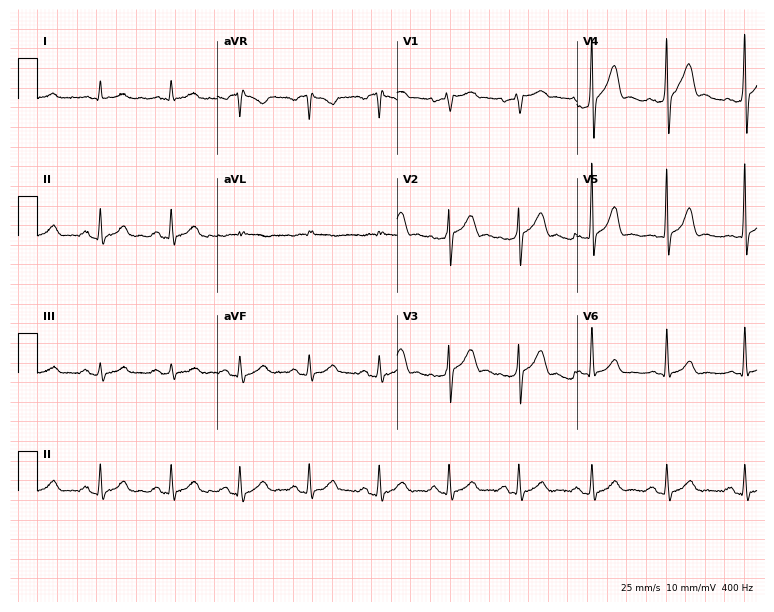
12-lead ECG from a male, 40 years old. Labelled as a normal ECG.